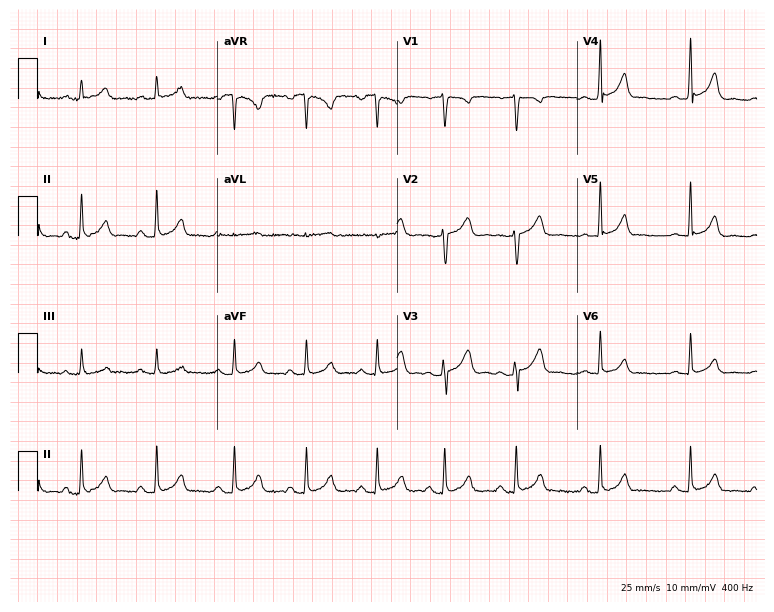
Resting 12-lead electrocardiogram (7.3-second recording at 400 Hz). Patient: a female, 19 years old. Read as a normal ECG.